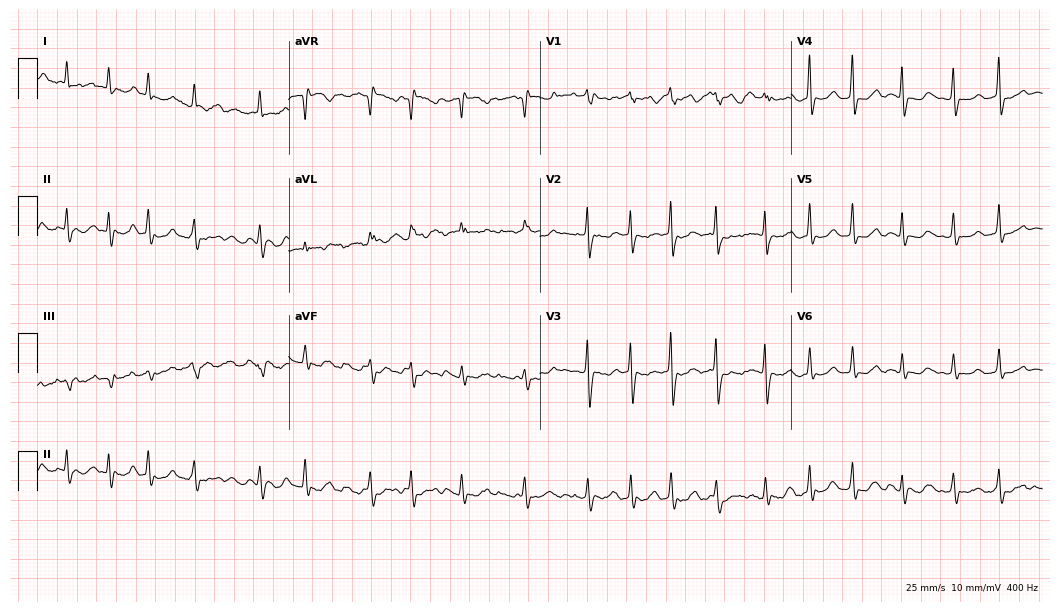
Electrocardiogram, a female, 71 years old. Interpretation includes atrial fibrillation.